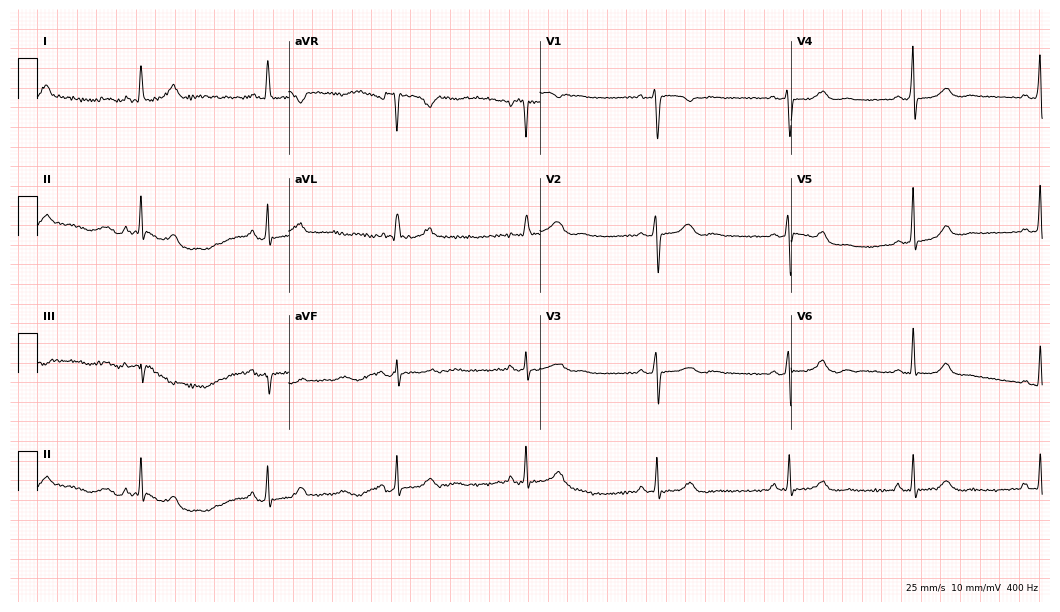
Resting 12-lead electrocardiogram. Patient: a 58-year-old female. None of these six findings is recorded: first-degree AV block, right bundle branch block (RBBB), left bundle branch block (LBBB), sinus bradycardia, atrial fibrillation (AF), sinus tachycardia.